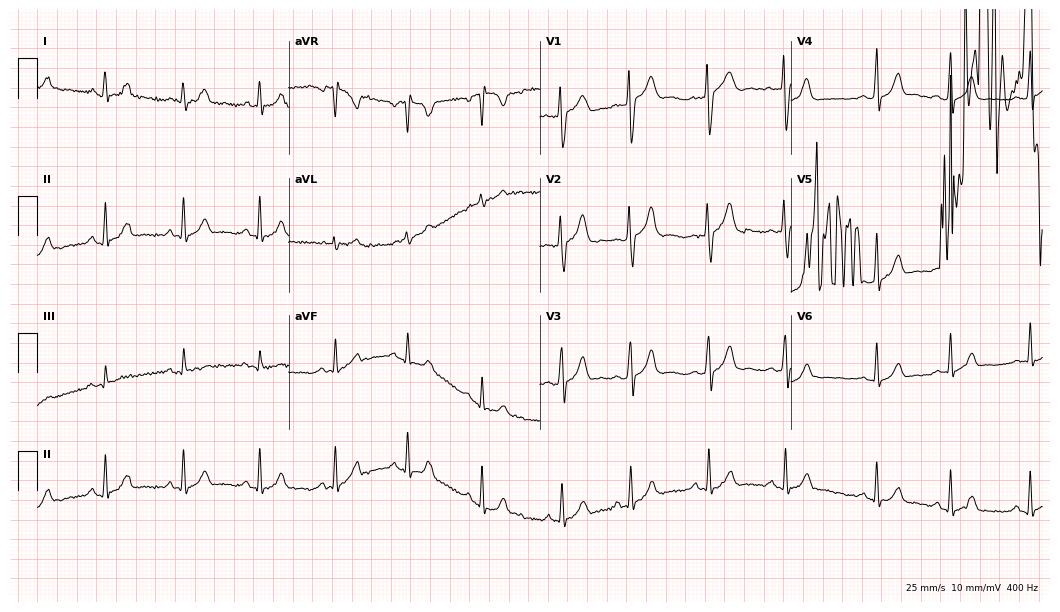
Resting 12-lead electrocardiogram. Patient: a 20-year-old woman. None of these six findings is recorded: first-degree AV block, right bundle branch block (RBBB), left bundle branch block (LBBB), sinus bradycardia, atrial fibrillation (AF), sinus tachycardia. Only these six findings were labelled.